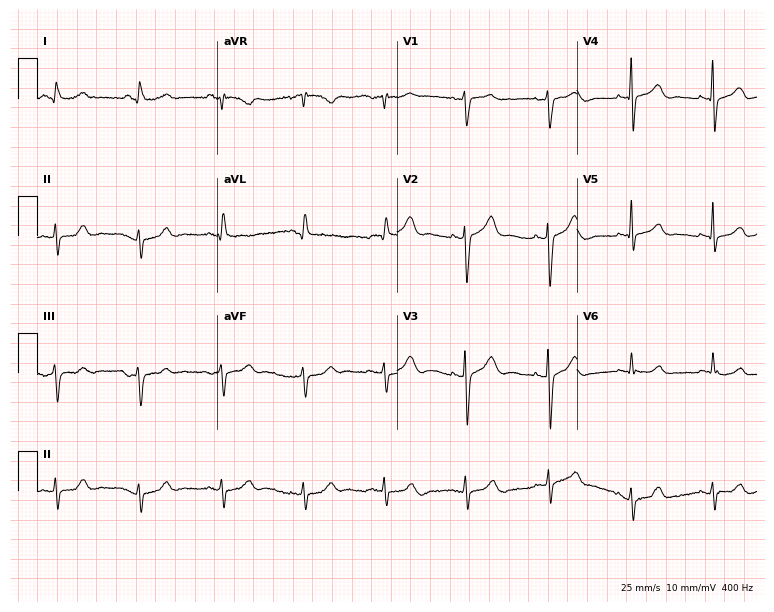
Standard 12-lead ECG recorded from a 79-year-old man. None of these six findings is recorded: first-degree AV block, right bundle branch block (RBBB), left bundle branch block (LBBB), sinus bradycardia, atrial fibrillation (AF), sinus tachycardia. Only these six findings were labelled.